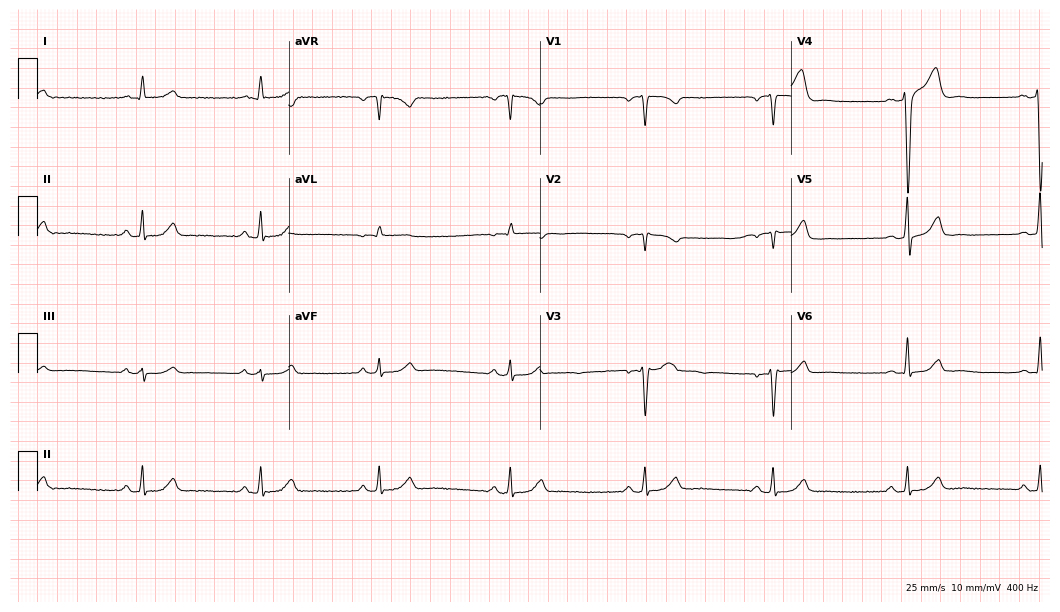
Standard 12-lead ECG recorded from a male patient, 48 years old (10.2-second recording at 400 Hz). The tracing shows sinus bradycardia (a sinus rate of 50 beats per minute or less).